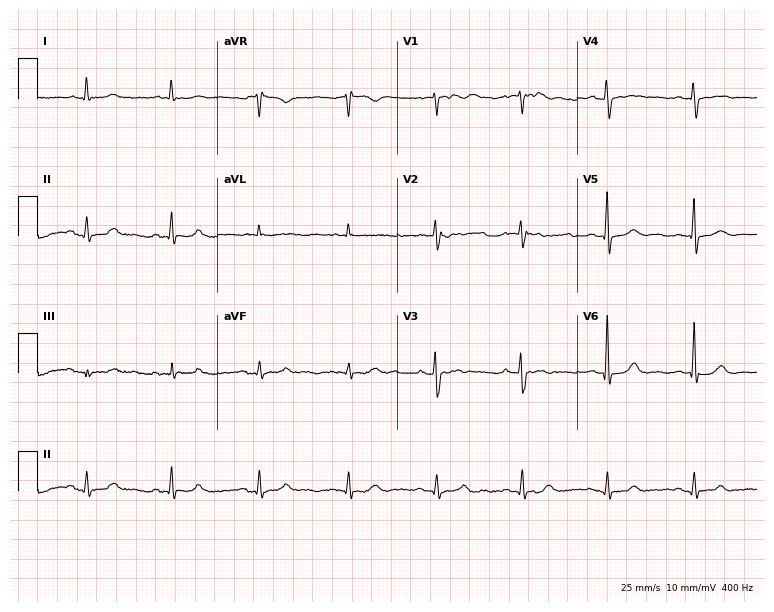
Standard 12-lead ECG recorded from a female patient, 82 years old. None of these six findings is recorded: first-degree AV block, right bundle branch block, left bundle branch block, sinus bradycardia, atrial fibrillation, sinus tachycardia.